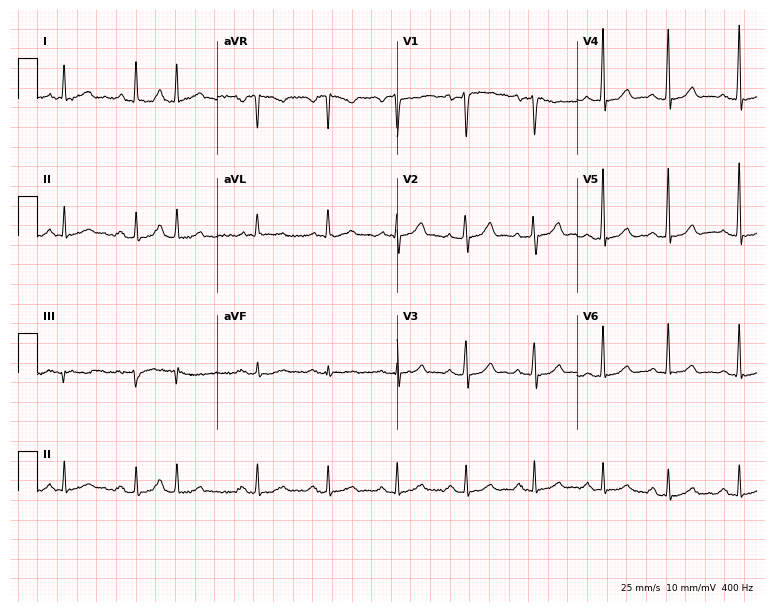
ECG — a female patient, 68 years old. Screened for six findings — first-degree AV block, right bundle branch block, left bundle branch block, sinus bradycardia, atrial fibrillation, sinus tachycardia — none is recorded. Findings outside these six are not listed.